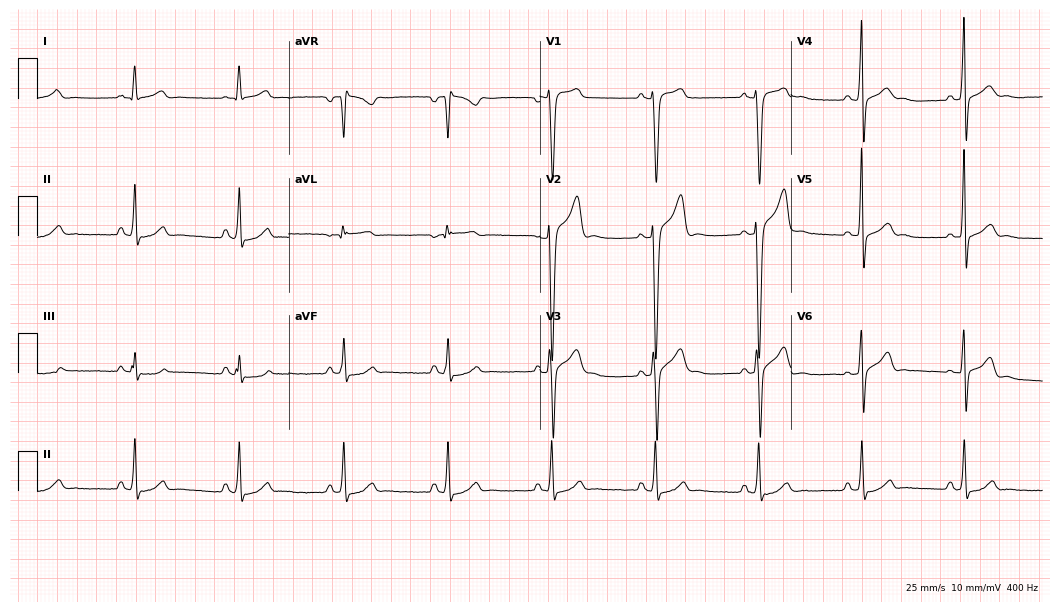
12-lead ECG from a 17-year-old male. Screened for six findings — first-degree AV block, right bundle branch block (RBBB), left bundle branch block (LBBB), sinus bradycardia, atrial fibrillation (AF), sinus tachycardia — none is recorded. Other findings, if any, are not listed.